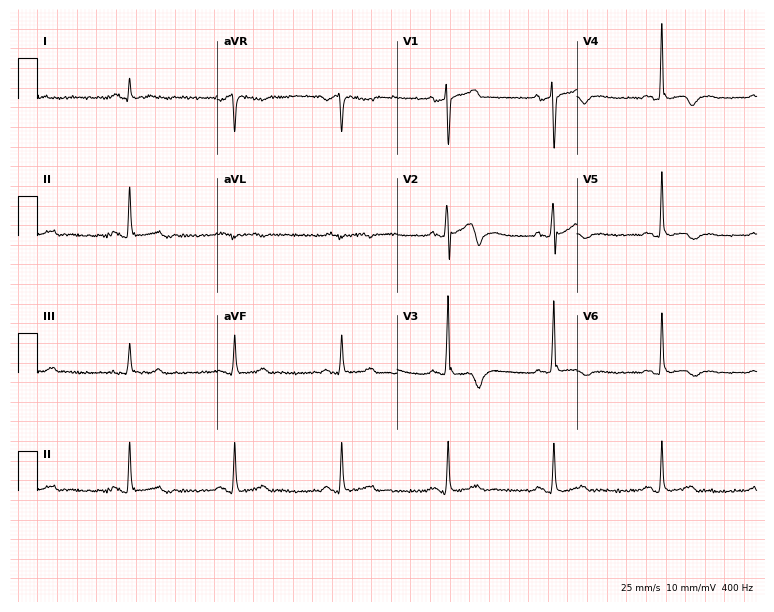
12-lead ECG from a 62-year-old male patient (7.3-second recording at 400 Hz). No first-degree AV block, right bundle branch block, left bundle branch block, sinus bradycardia, atrial fibrillation or sinus tachycardia recorded for this tracing. Other findings, if any, are not listed.